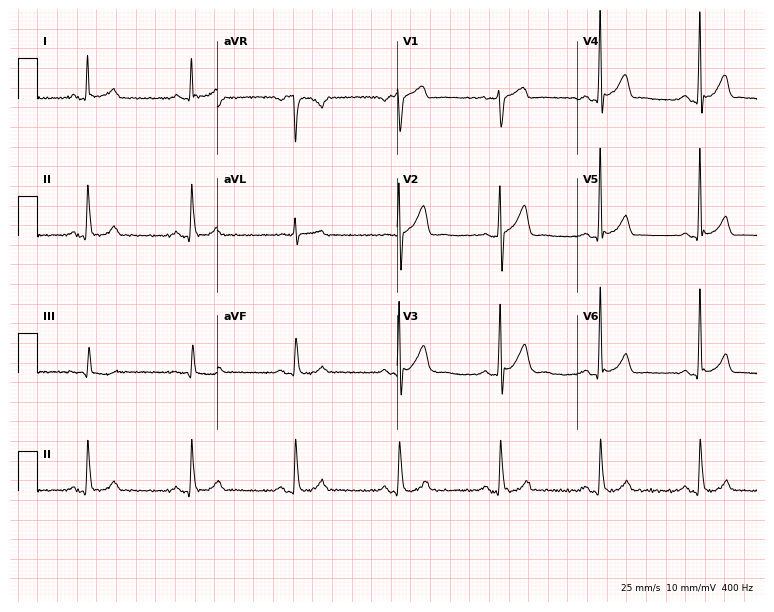
Standard 12-lead ECG recorded from a female, 68 years old (7.3-second recording at 400 Hz). Read as a normal ECG.